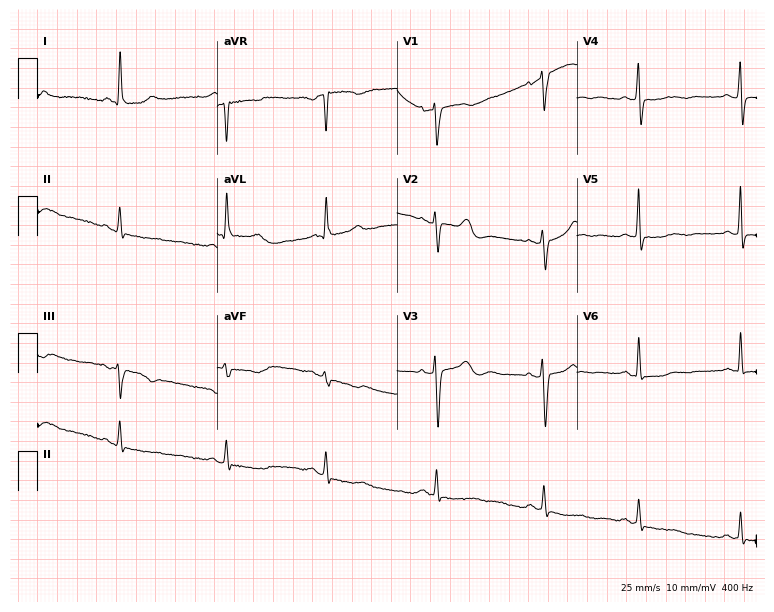
Resting 12-lead electrocardiogram (7.3-second recording at 400 Hz). Patient: a 49-year-old woman. None of these six findings is recorded: first-degree AV block, right bundle branch block, left bundle branch block, sinus bradycardia, atrial fibrillation, sinus tachycardia. Only these six findings were labelled.